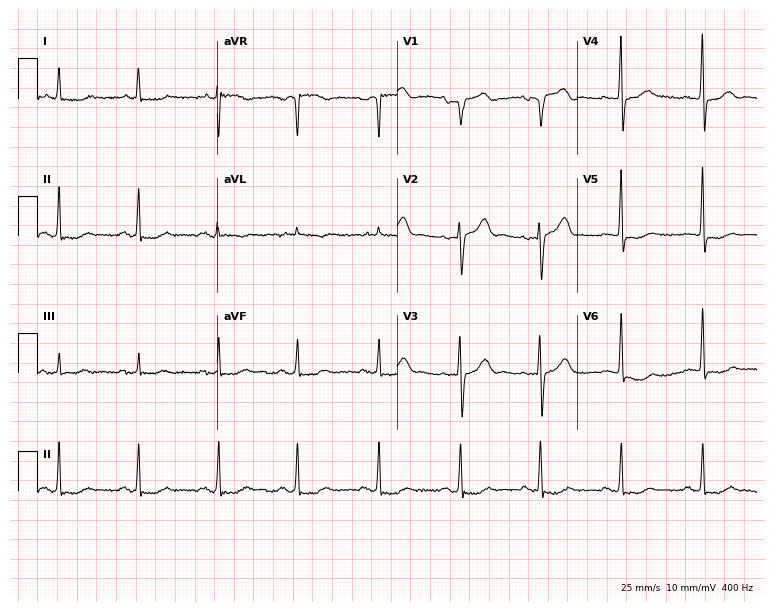
Standard 12-lead ECG recorded from a 78-year-old male. None of these six findings is recorded: first-degree AV block, right bundle branch block, left bundle branch block, sinus bradycardia, atrial fibrillation, sinus tachycardia.